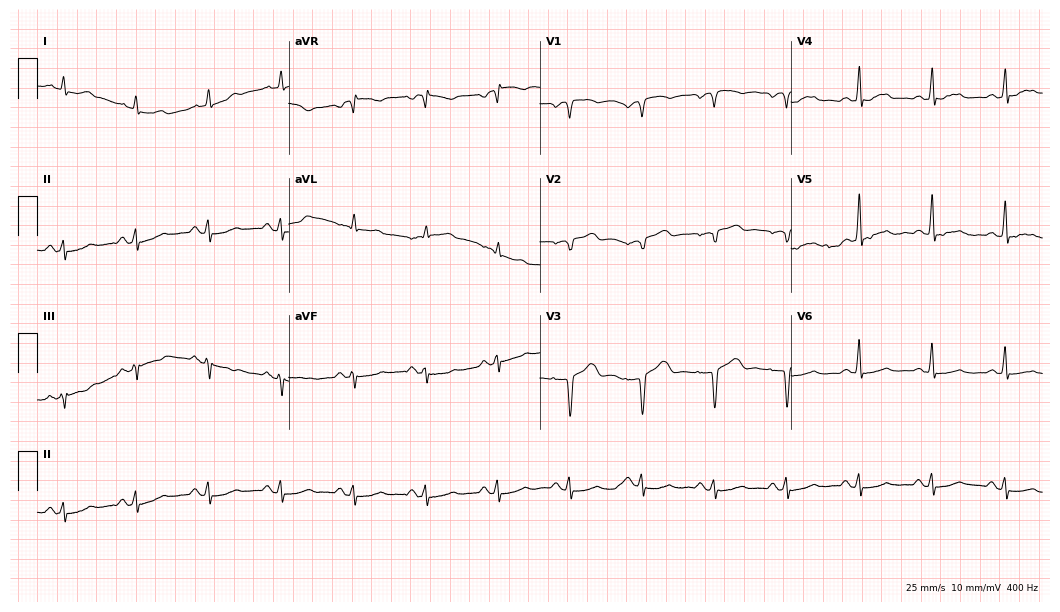
12-lead ECG from a female patient, 53 years old (10.2-second recording at 400 Hz). No first-degree AV block, right bundle branch block (RBBB), left bundle branch block (LBBB), sinus bradycardia, atrial fibrillation (AF) or sinus tachycardia recorded for this tracing.